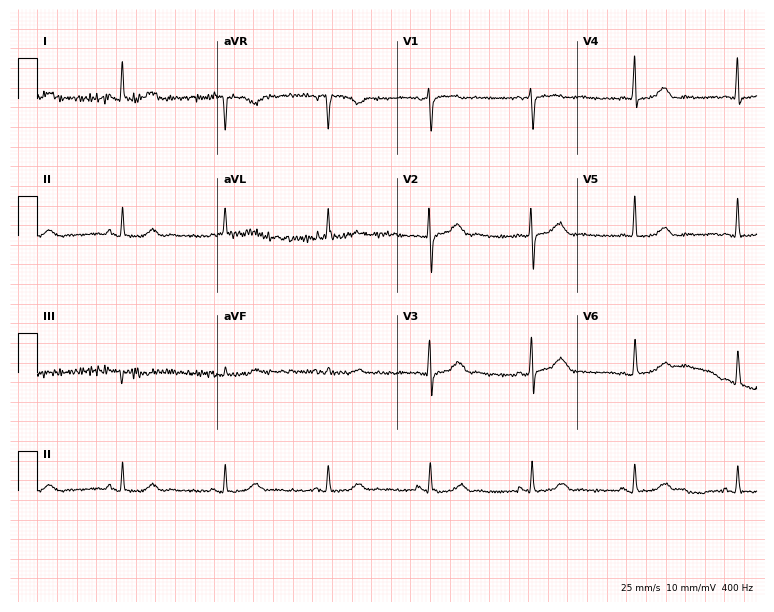
12-lead ECG from a female patient, 79 years old. Screened for six findings — first-degree AV block, right bundle branch block, left bundle branch block, sinus bradycardia, atrial fibrillation, sinus tachycardia — none is recorded.